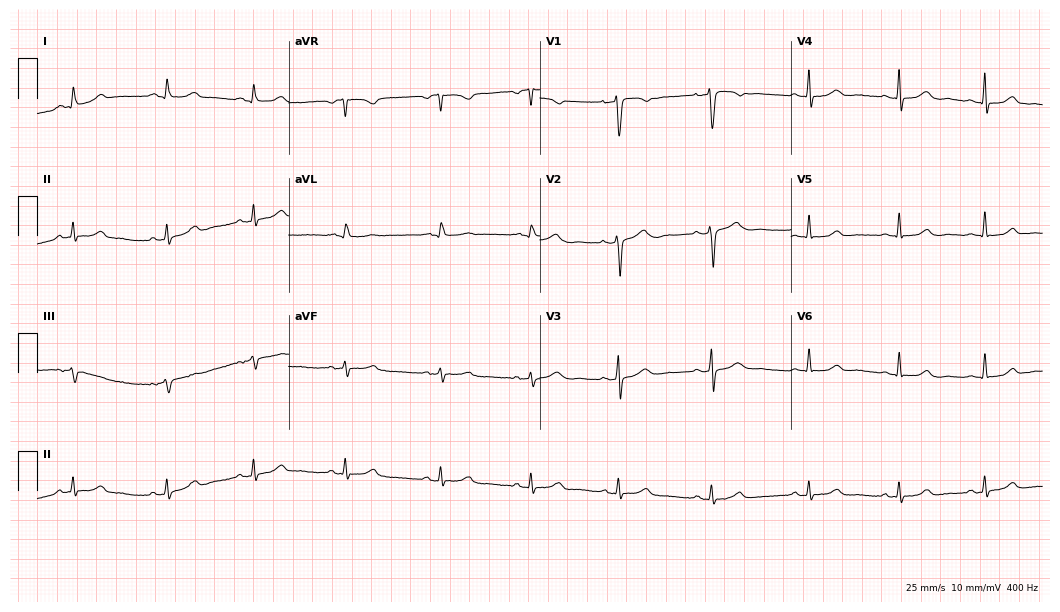
Electrocardiogram, a 36-year-old woman. Overall reading on record: normal ECG.